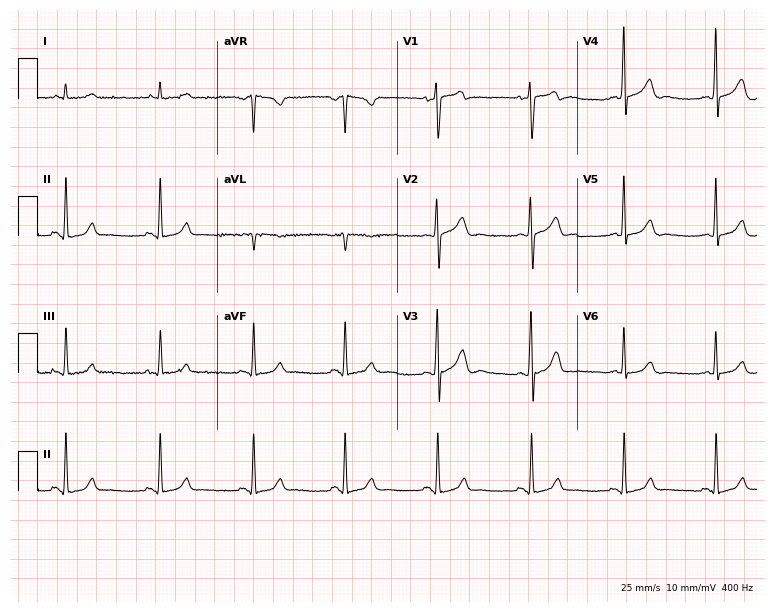
12-lead ECG from a man, 70 years old. Screened for six findings — first-degree AV block, right bundle branch block (RBBB), left bundle branch block (LBBB), sinus bradycardia, atrial fibrillation (AF), sinus tachycardia — none is recorded.